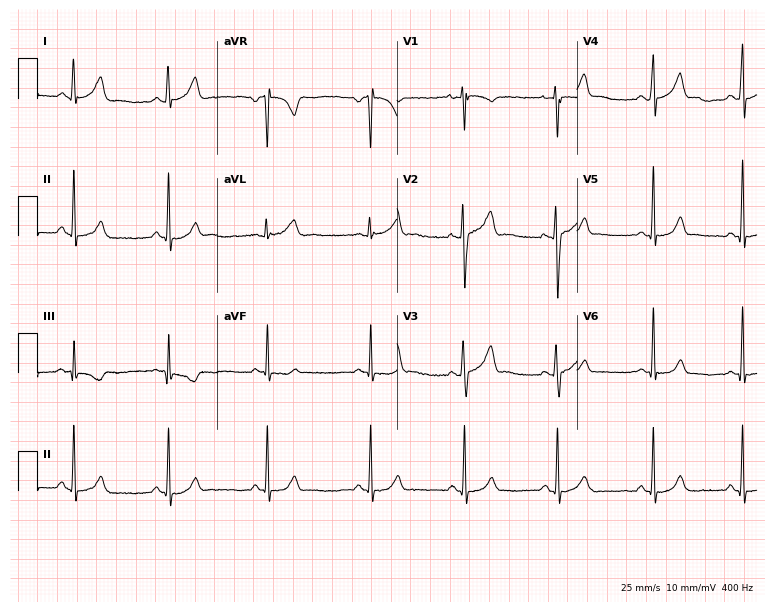
Electrocardiogram (7.3-second recording at 400 Hz), a 24-year-old female. Overall reading on record: normal ECG.